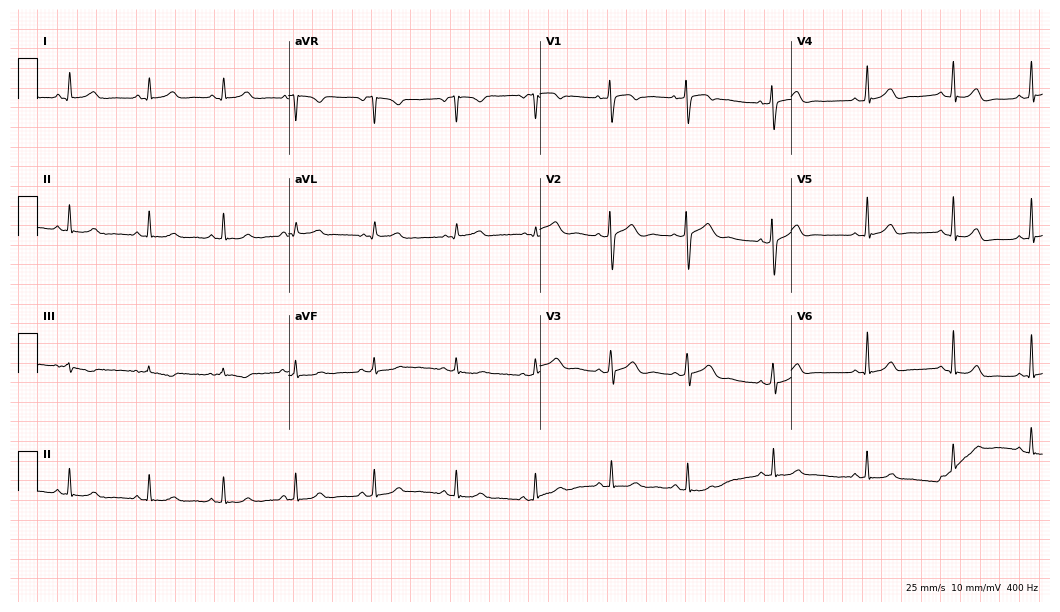
ECG (10.2-second recording at 400 Hz) — a 28-year-old woman. Labelled as a normal ECG.